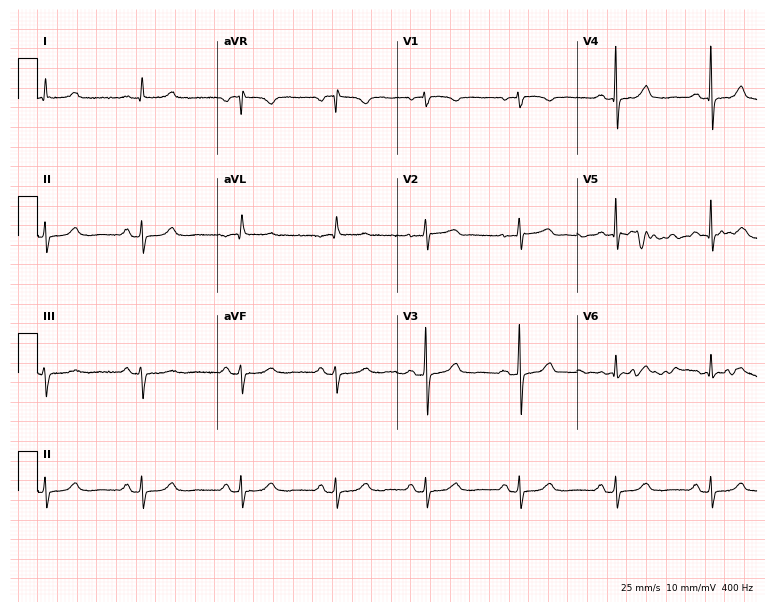
12-lead ECG from a woman, 61 years old. No first-degree AV block, right bundle branch block, left bundle branch block, sinus bradycardia, atrial fibrillation or sinus tachycardia recorded for this tracing. Other findings, if any, are not listed.